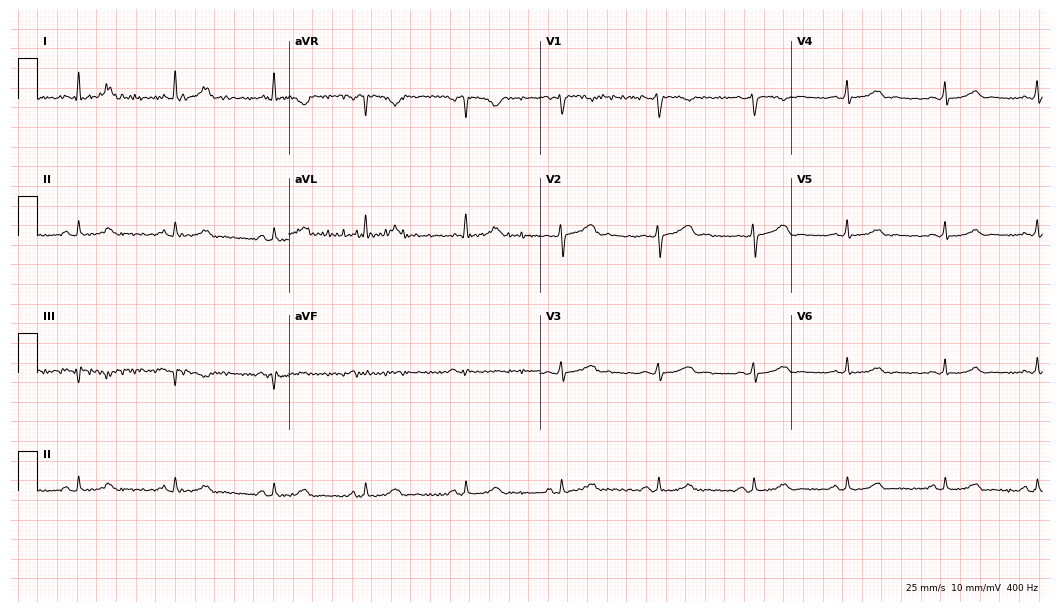
ECG — a female, 38 years old. Labelled as a normal ECG.